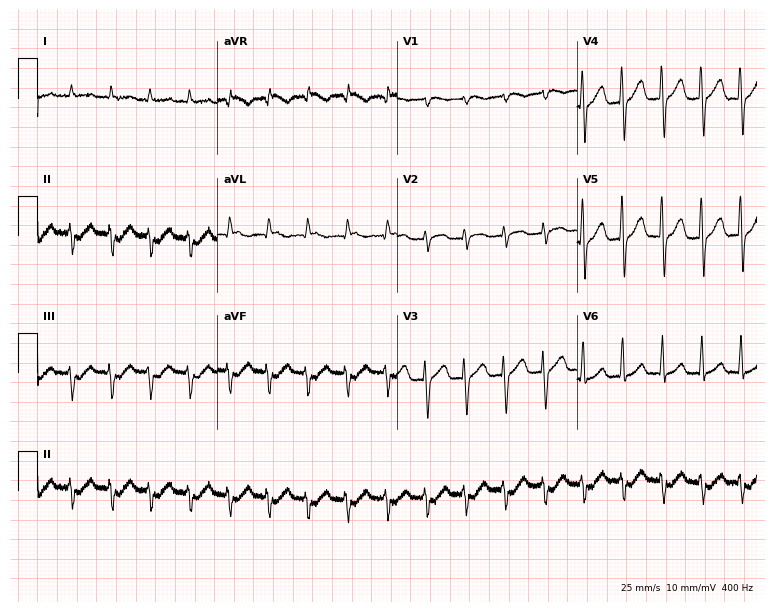
12-lead ECG from a 70-year-old male patient. No first-degree AV block, right bundle branch block (RBBB), left bundle branch block (LBBB), sinus bradycardia, atrial fibrillation (AF) or sinus tachycardia recorded for this tracing.